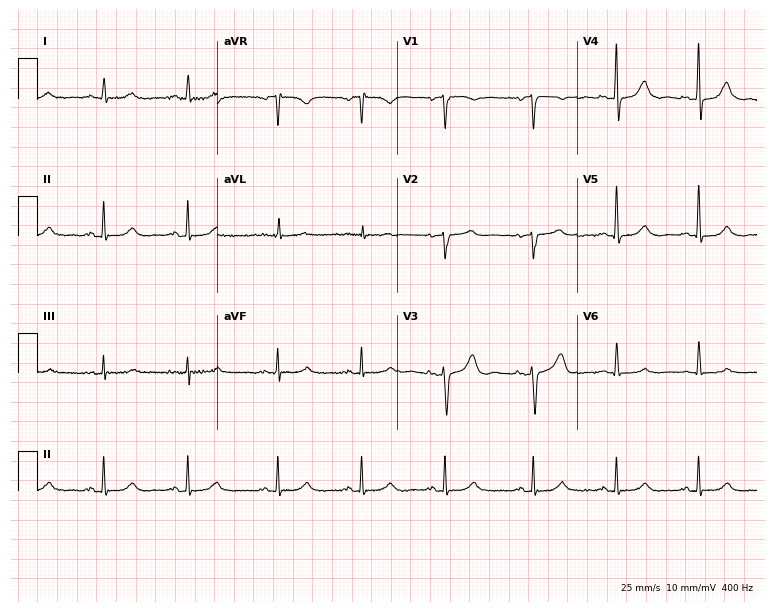
Electrocardiogram, a 60-year-old female patient. Overall reading on record: normal ECG.